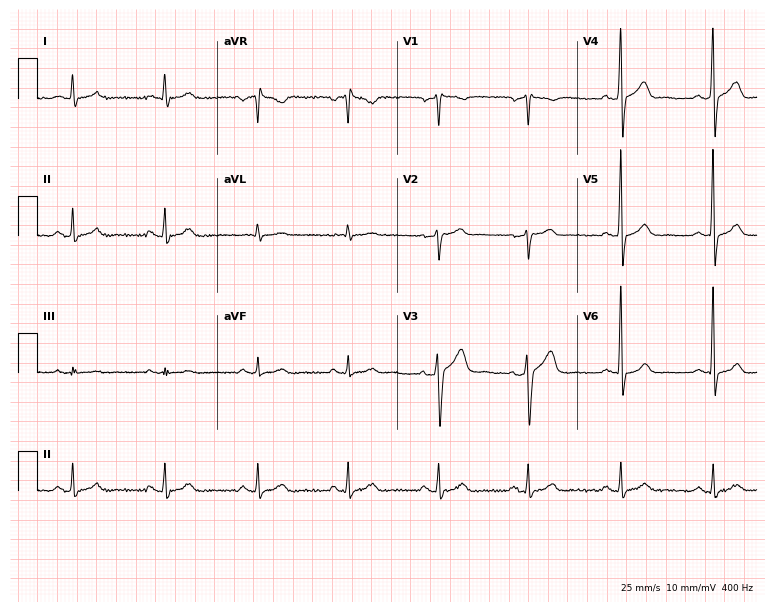
Standard 12-lead ECG recorded from a 45-year-old woman. None of these six findings is recorded: first-degree AV block, right bundle branch block (RBBB), left bundle branch block (LBBB), sinus bradycardia, atrial fibrillation (AF), sinus tachycardia. Only these six findings were labelled.